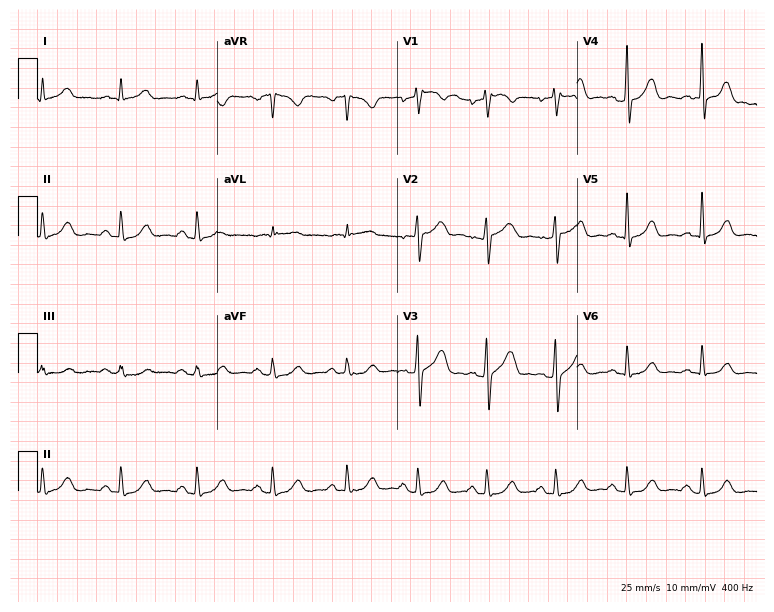
ECG (7.3-second recording at 400 Hz) — a 49-year-old man. Labelled as a normal ECG.